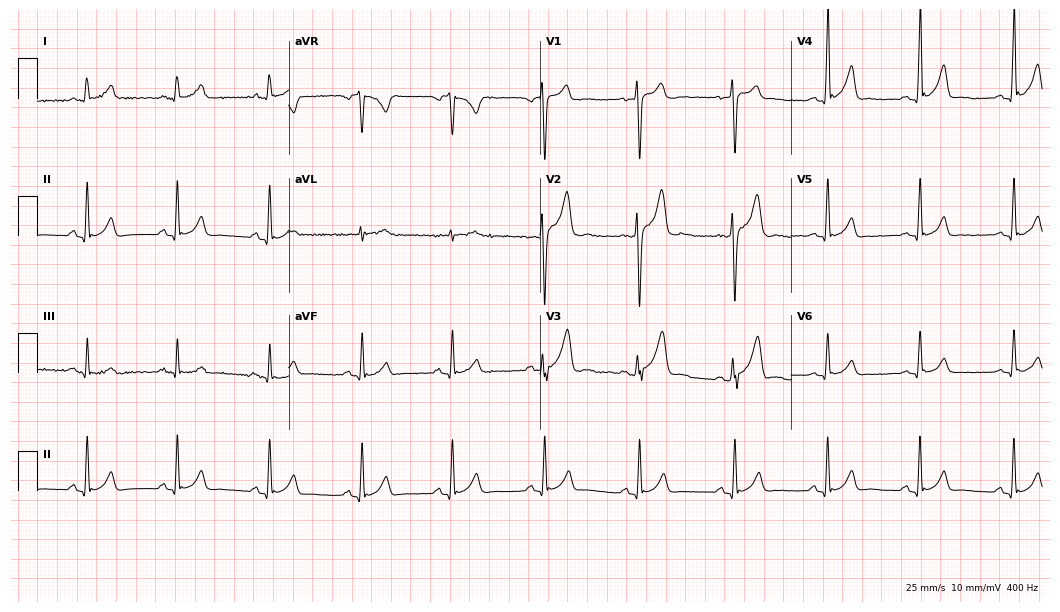
Standard 12-lead ECG recorded from a 22-year-old man. None of these six findings is recorded: first-degree AV block, right bundle branch block, left bundle branch block, sinus bradycardia, atrial fibrillation, sinus tachycardia. Other findings, if any, are not listed.